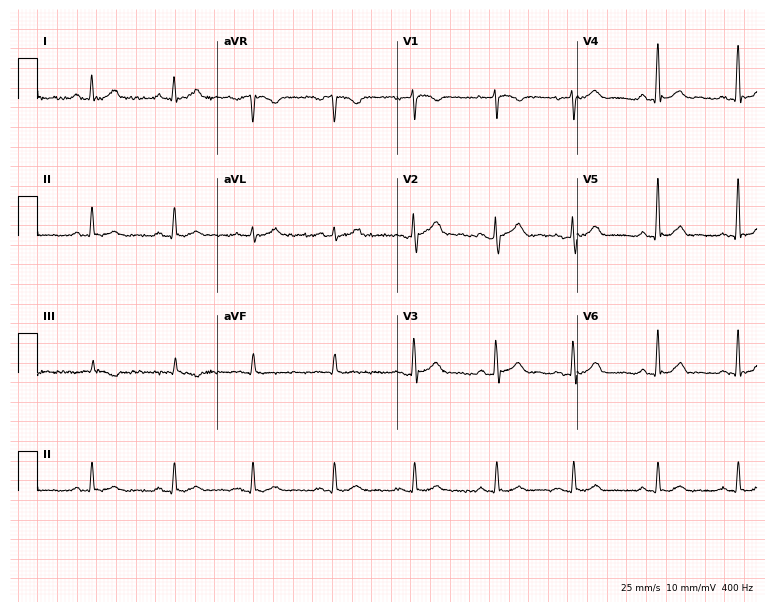
12-lead ECG (7.3-second recording at 400 Hz) from a 61-year-old male patient. Screened for six findings — first-degree AV block, right bundle branch block, left bundle branch block, sinus bradycardia, atrial fibrillation, sinus tachycardia — none is recorded.